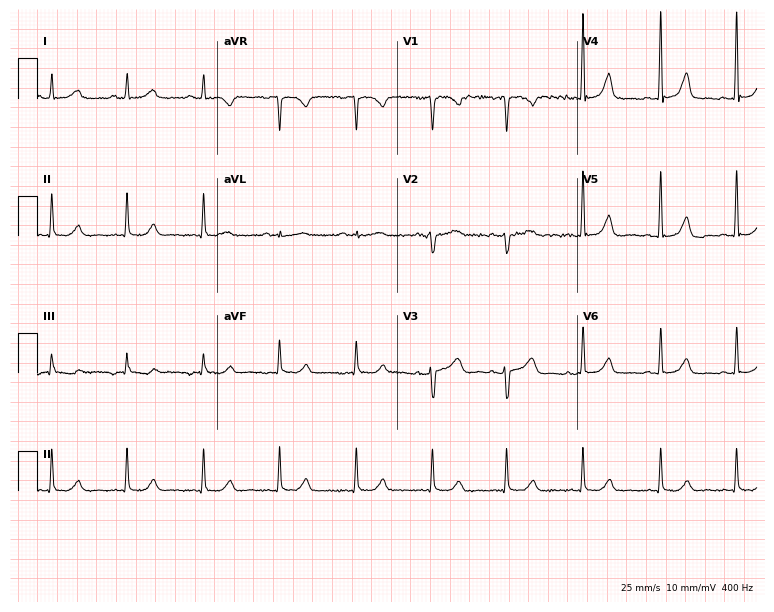
12-lead ECG (7.3-second recording at 400 Hz) from a 47-year-old female patient. Screened for six findings — first-degree AV block, right bundle branch block, left bundle branch block, sinus bradycardia, atrial fibrillation, sinus tachycardia — none is recorded.